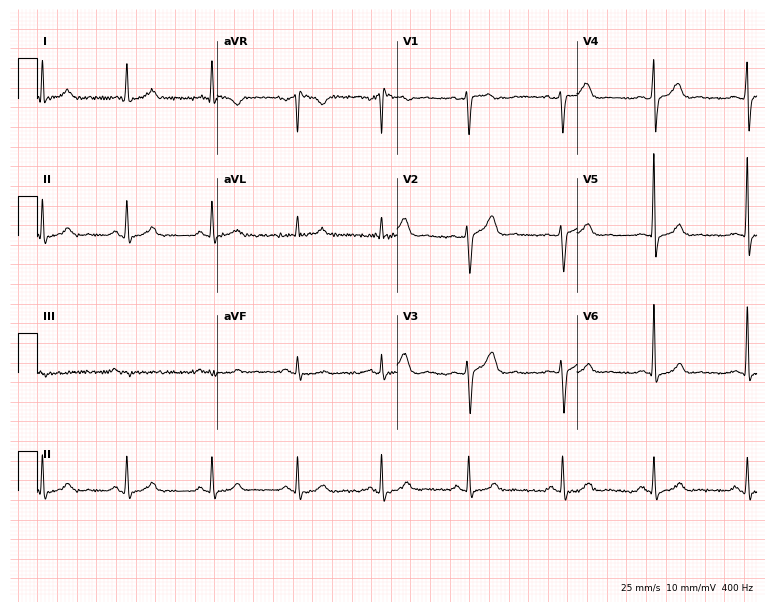
12-lead ECG from a male patient, 31 years old (7.3-second recording at 400 Hz). Recorded interpretation: within normal limits.